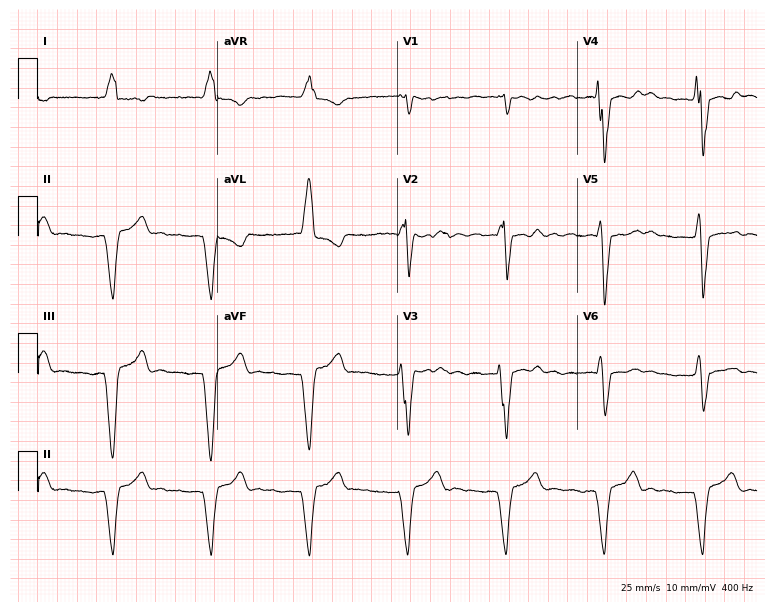
12-lead ECG from a 79-year-old male patient. No first-degree AV block, right bundle branch block, left bundle branch block, sinus bradycardia, atrial fibrillation or sinus tachycardia recorded for this tracing. Only these six findings were labelled.